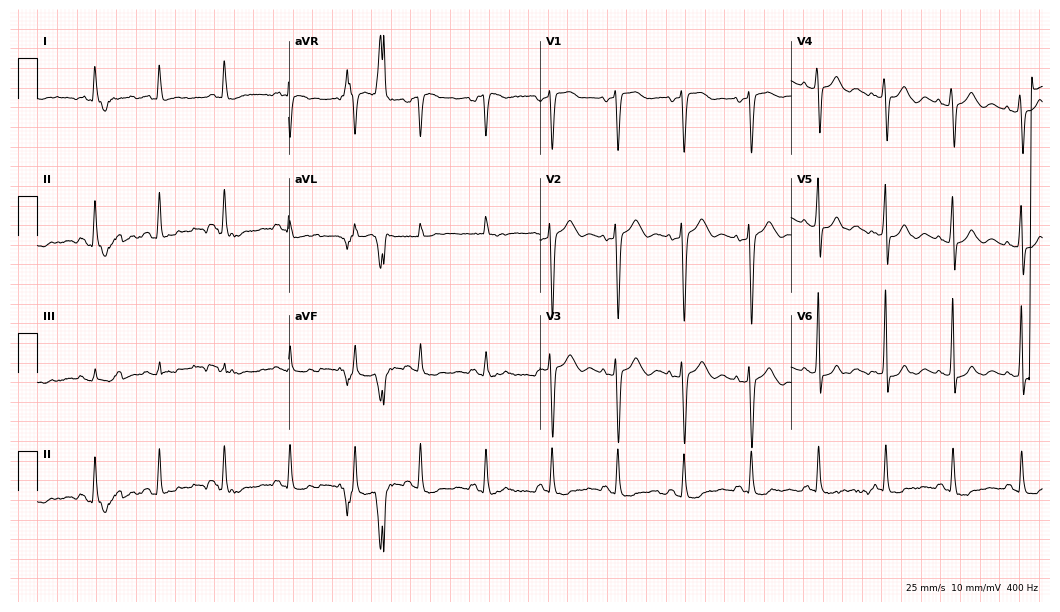
12-lead ECG from a 75-year-old female patient (10.2-second recording at 400 Hz). No first-degree AV block, right bundle branch block, left bundle branch block, sinus bradycardia, atrial fibrillation or sinus tachycardia recorded for this tracing.